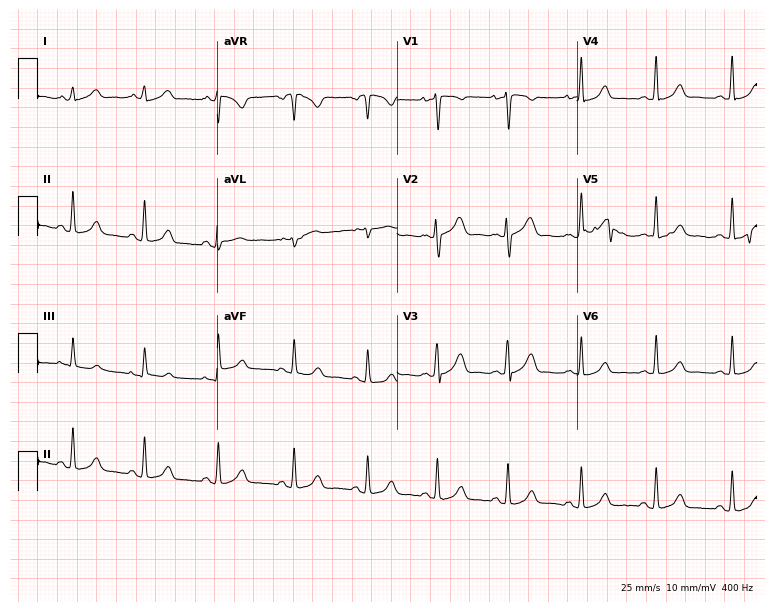
Resting 12-lead electrocardiogram. Patient: a woman, 26 years old. None of these six findings is recorded: first-degree AV block, right bundle branch block, left bundle branch block, sinus bradycardia, atrial fibrillation, sinus tachycardia.